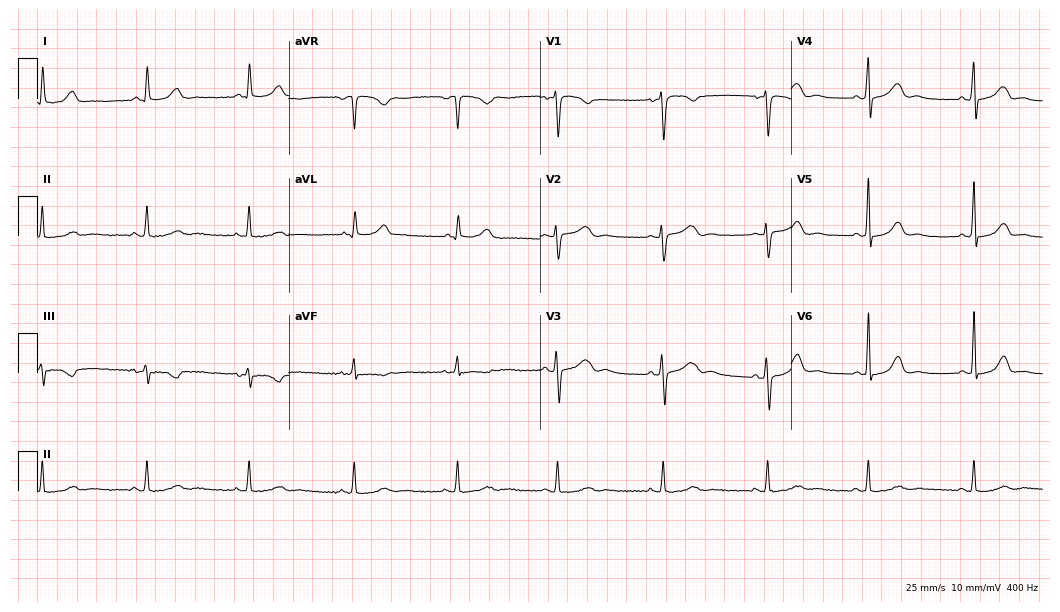
Resting 12-lead electrocardiogram (10.2-second recording at 400 Hz). Patient: a female, 48 years old. None of these six findings is recorded: first-degree AV block, right bundle branch block, left bundle branch block, sinus bradycardia, atrial fibrillation, sinus tachycardia.